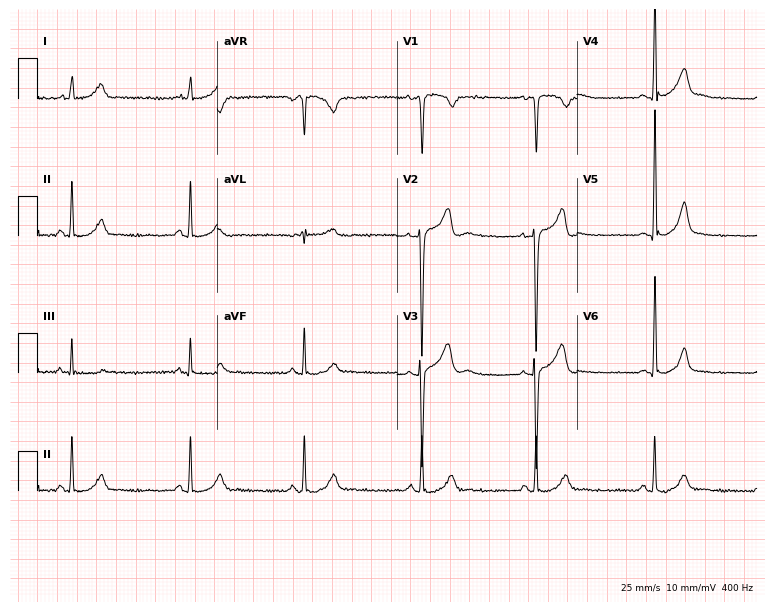
Electrocardiogram, a male, 25 years old. Overall reading on record: normal ECG.